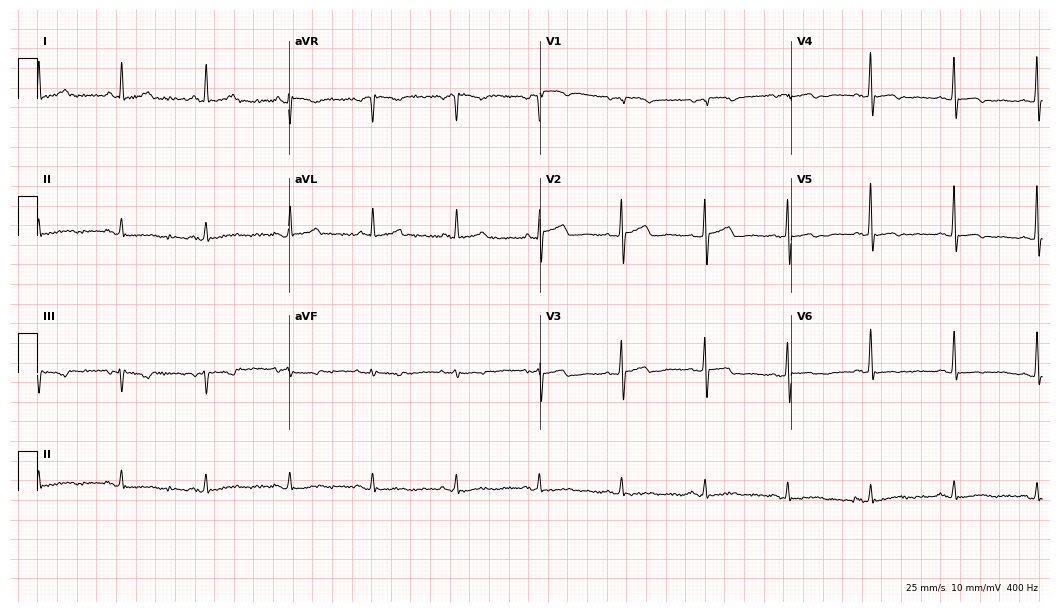
Electrocardiogram, a 74-year-old female patient. Overall reading on record: normal ECG.